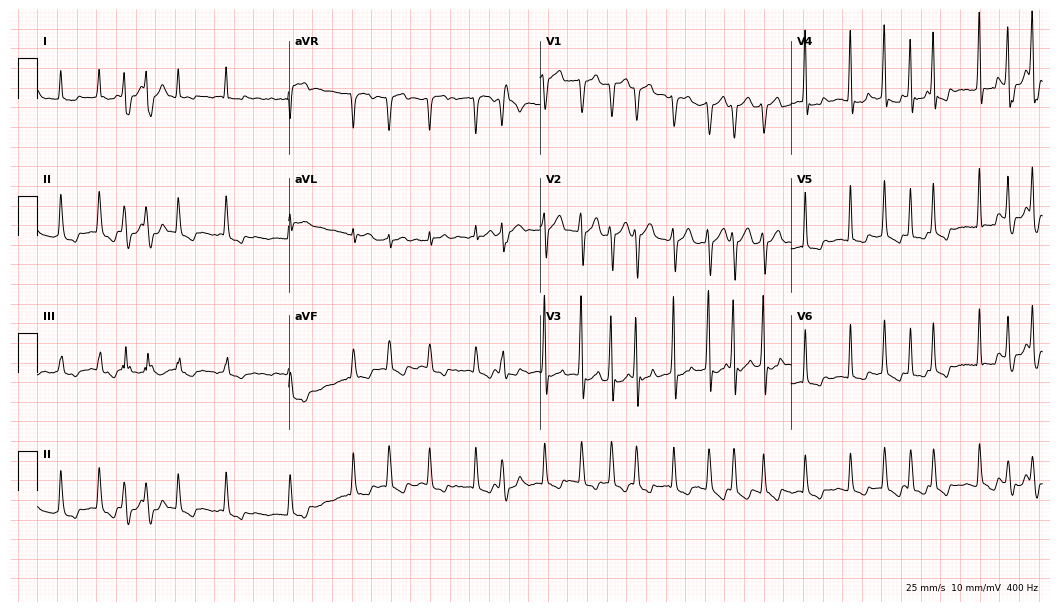
Resting 12-lead electrocardiogram. Patient: a man, 54 years old. The tracing shows atrial fibrillation.